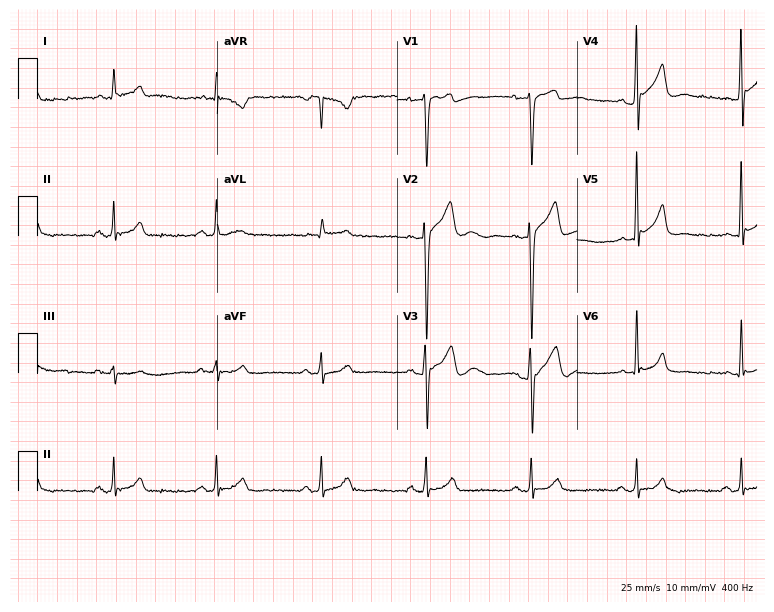
ECG — a 48-year-old male. Screened for six findings — first-degree AV block, right bundle branch block, left bundle branch block, sinus bradycardia, atrial fibrillation, sinus tachycardia — none is recorded. Other findings, if any, are not listed.